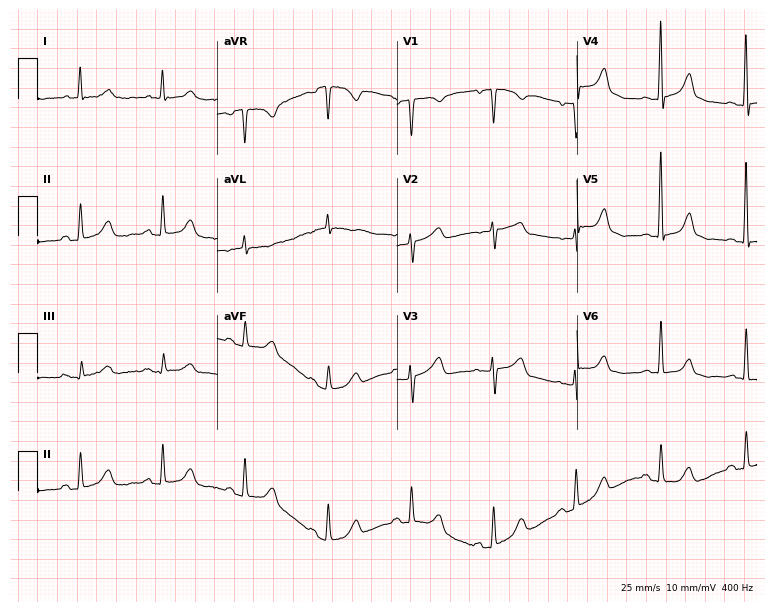
12-lead ECG (7.3-second recording at 400 Hz) from an 80-year-old female patient. Screened for six findings — first-degree AV block, right bundle branch block, left bundle branch block, sinus bradycardia, atrial fibrillation, sinus tachycardia — none is recorded.